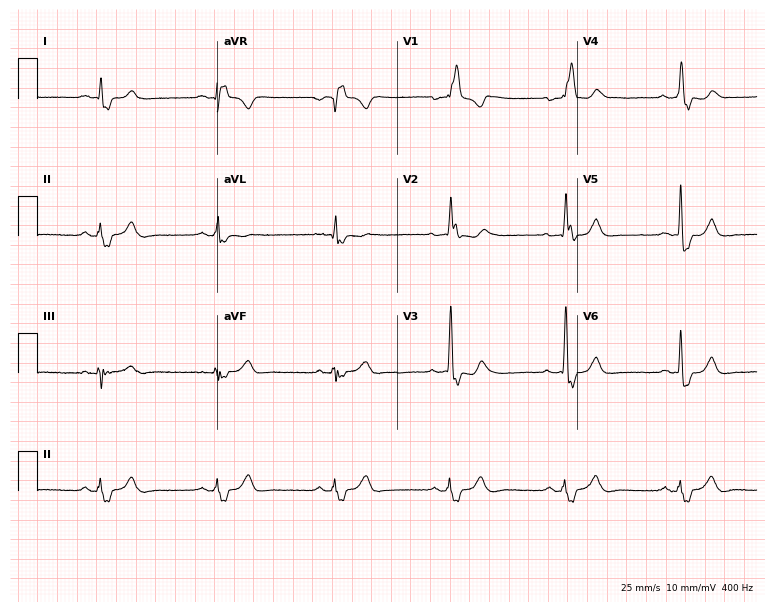
12-lead ECG from a 75-year-old man. Findings include right bundle branch block, sinus bradycardia (a sinus rate of 50 beats per minute or less).